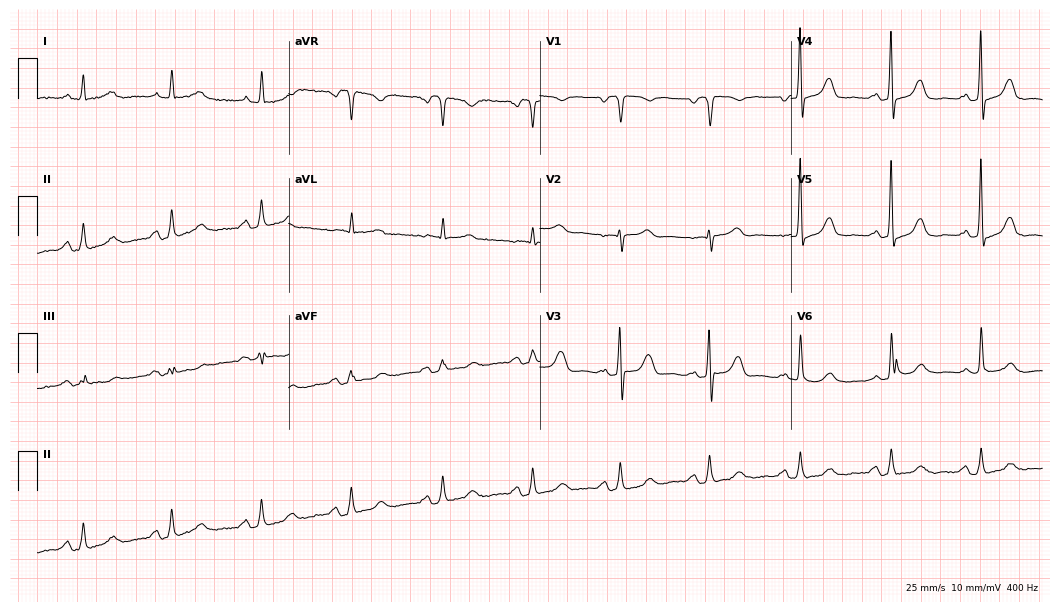
12-lead ECG (10.2-second recording at 400 Hz) from a woman, 75 years old. Screened for six findings — first-degree AV block, right bundle branch block (RBBB), left bundle branch block (LBBB), sinus bradycardia, atrial fibrillation (AF), sinus tachycardia — none is recorded. Other findings, if any, are not listed.